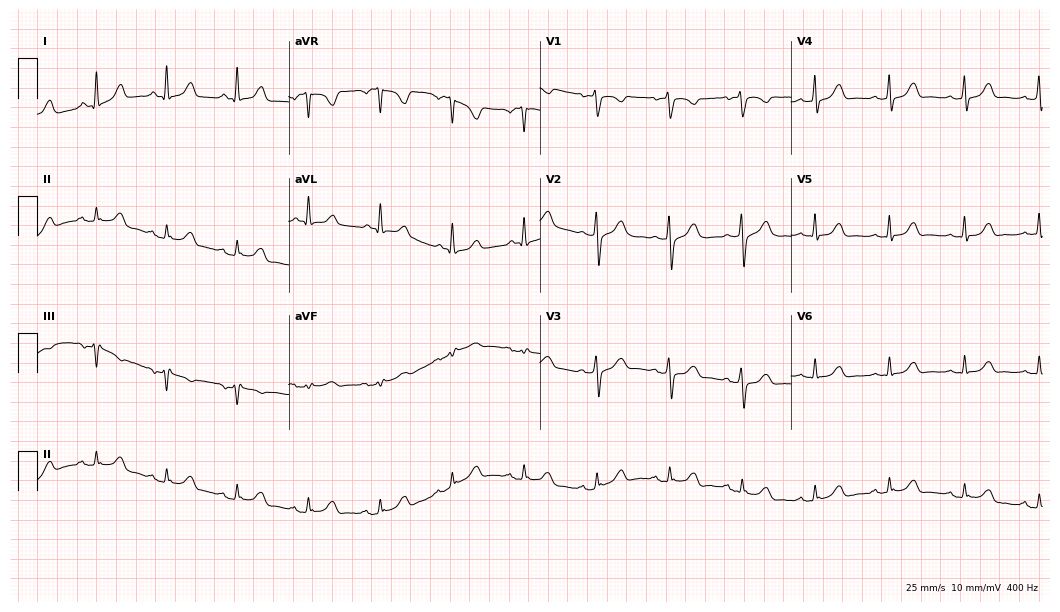
Resting 12-lead electrocardiogram. Patient: a 67-year-old female. Read as a normal ECG.